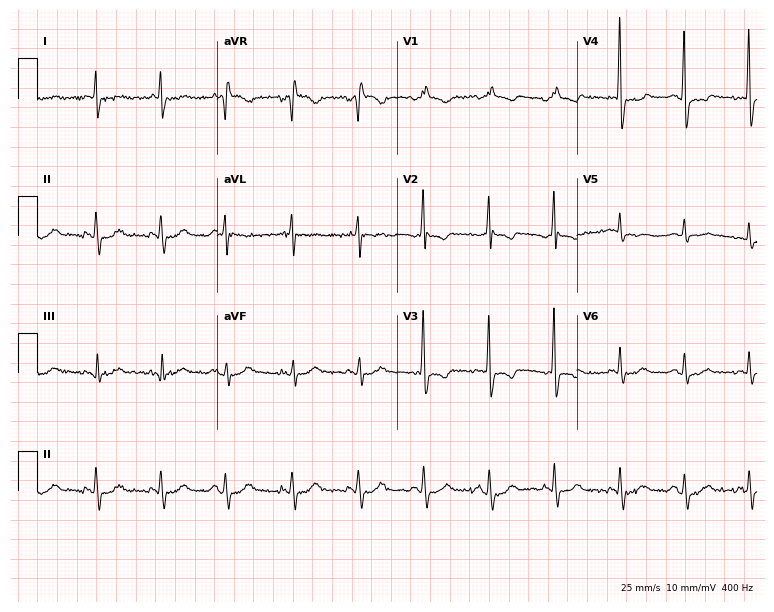
Electrocardiogram (7.3-second recording at 400 Hz), a 78-year-old female. Of the six screened findings (first-degree AV block, right bundle branch block, left bundle branch block, sinus bradycardia, atrial fibrillation, sinus tachycardia), none is recorded.